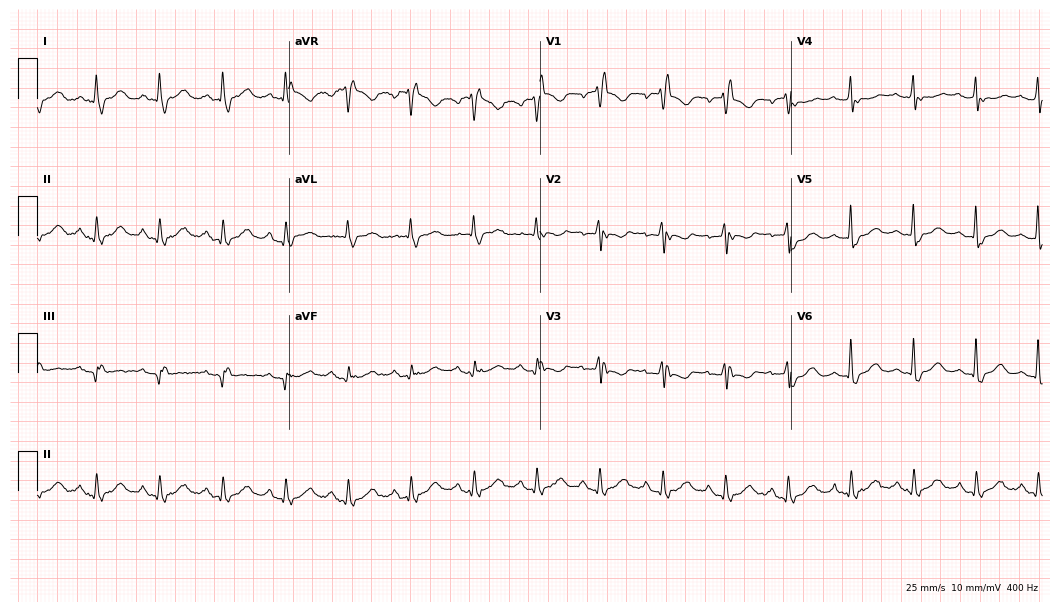
Standard 12-lead ECG recorded from a 64-year-old female patient. None of these six findings is recorded: first-degree AV block, right bundle branch block, left bundle branch block, sinus bradycardia, atrial fibrillation, sinus tachycardia. Other findings, if any, are not listed.